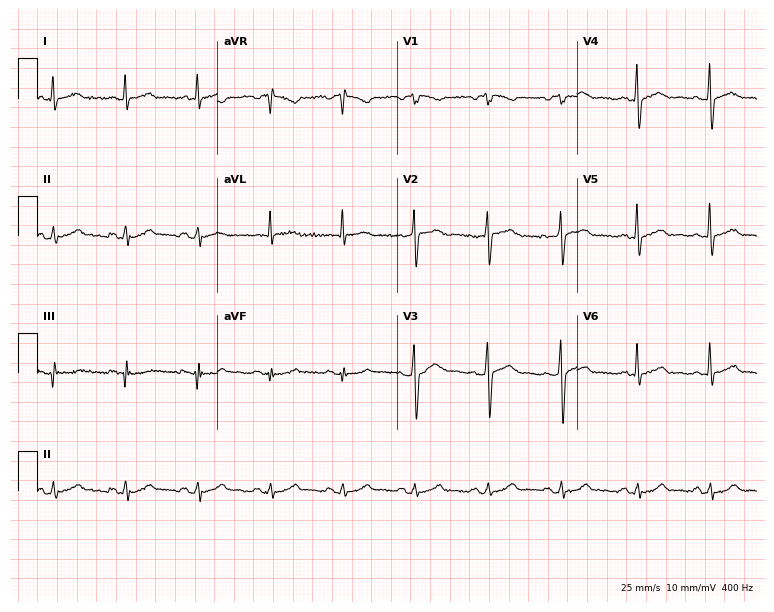
12-lead ECG (7.3-second recording at 400 Hz) from a 45-year-old man. Labelled as a normal ECG.